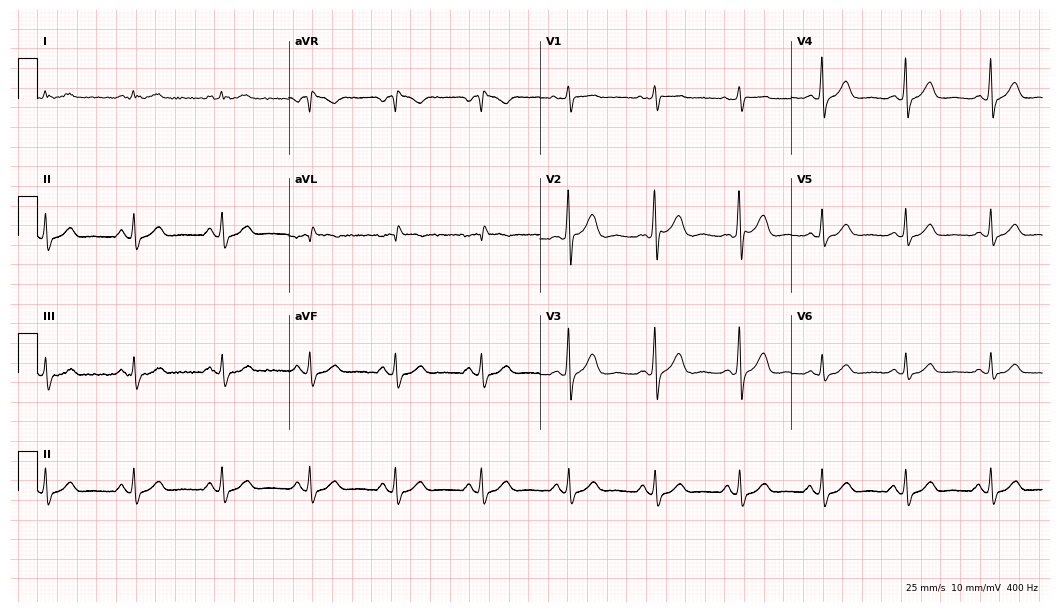
ECG (10.2-second recording at 400 Hz) — a man, 48 years old. Screened for six findings — first-degree AV block, right bundle branch block, left bundle branch block, sinus bradycardia, atrial fibrillation, sinus tachycardia — none is recorded.